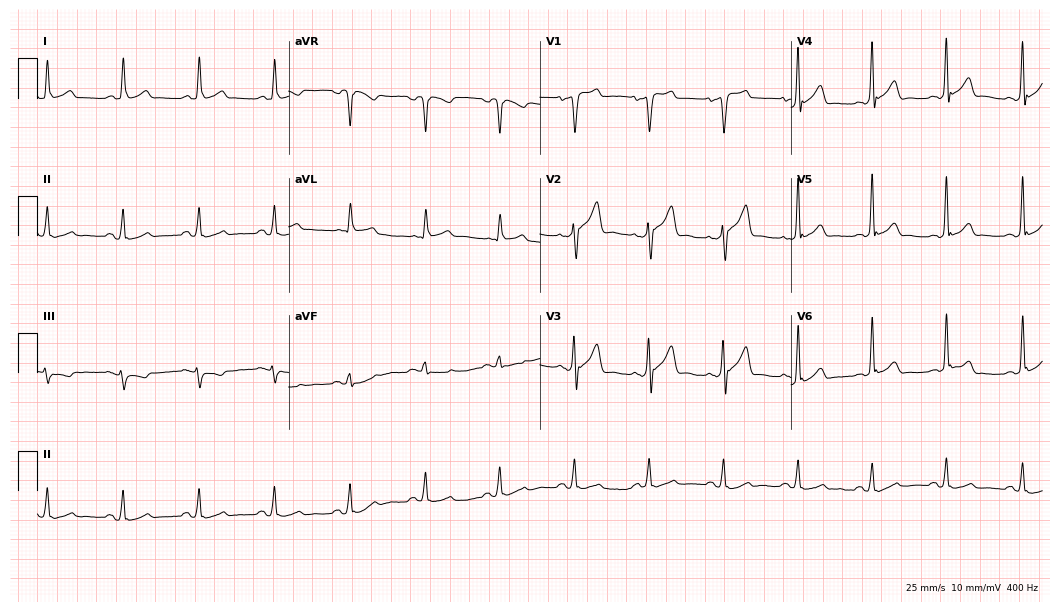
Electrocardiogram (10.2-second recording at 400 Hz), a 51-year-old male. Of the six screened findings (first-degree AV block, right bundle branch block, left bundle branch block, sinus bradycardia, atrial fibrillation, sinus tachycardia), none is recorded. Findings outside these six are not listed.